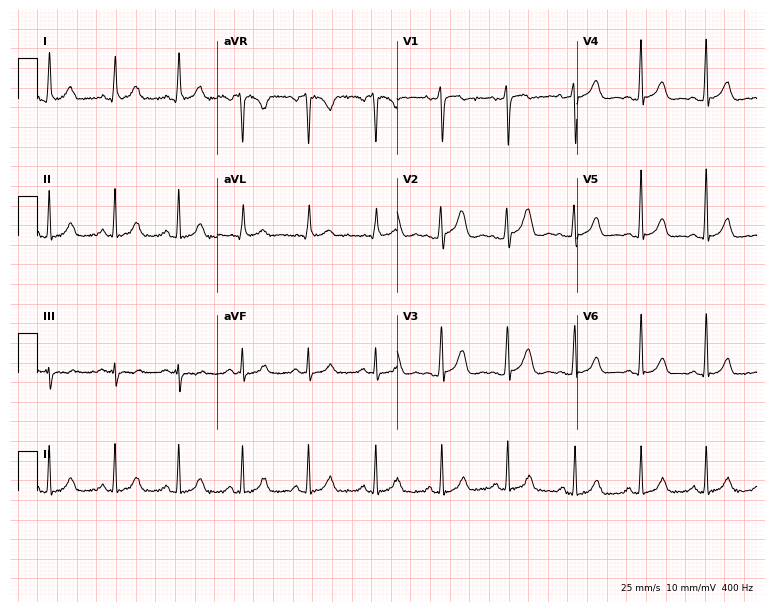
12-lead ECG (7.3-second recording at 400 Hz) from a 31-year-old female patient. Labelled as a normal ECG.